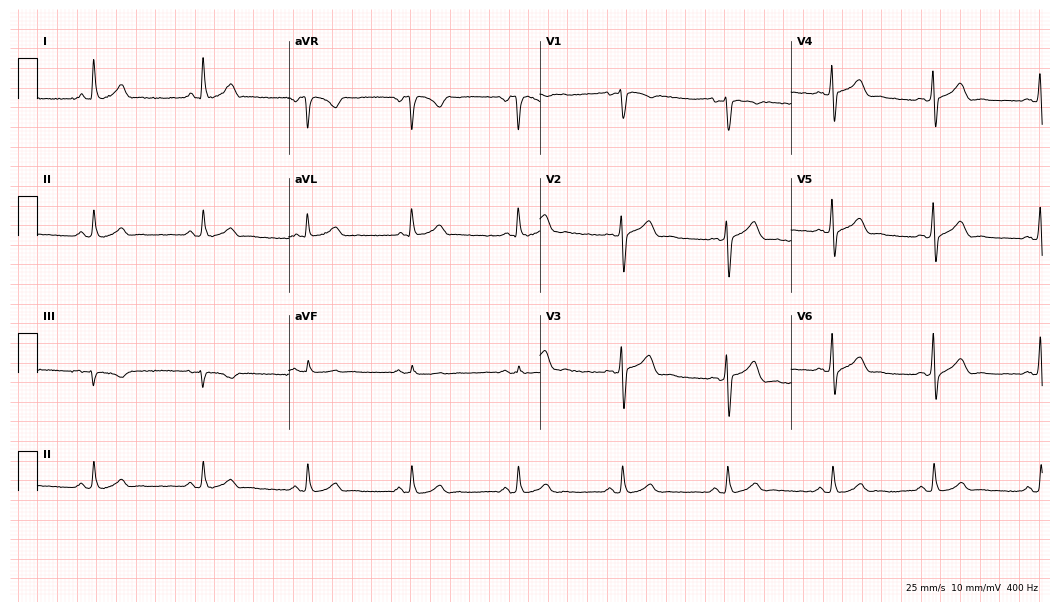
Standard 12-lead ECG recorded from a man, 41 years old (10.2-second recording at 400 Hz). Read as a normal ECG.